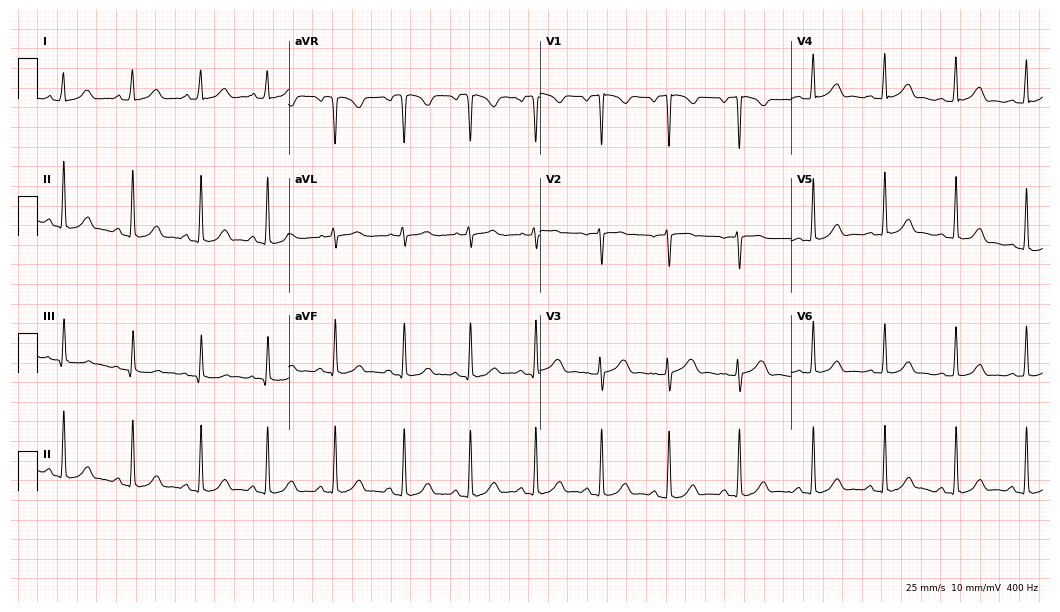
Resting 12-lead electrocardiogram. Patient: a 19-year-old female. Read as a normal ECG.